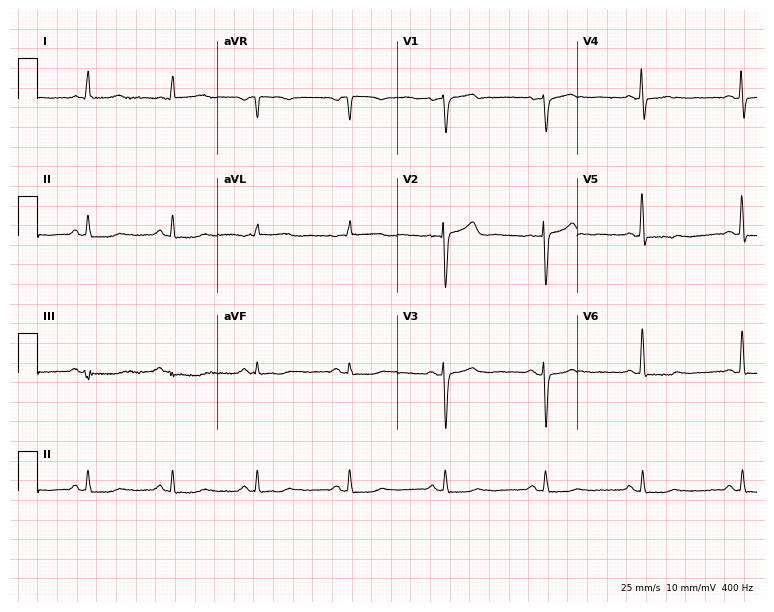
ECG — a 77-year-old male patient. Screened for six findings — first-degree AV block, right bundle branch block (RBBB), left bundle branch block (LBBB), sinus bradycardia, atrial fibrillation (AF), sinus tachycardia — none is recorded. Findings outside these six are not listed.